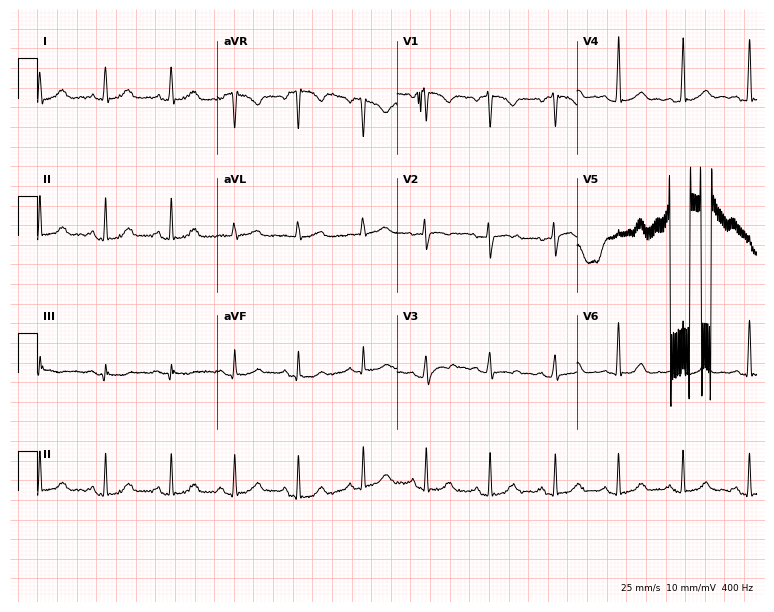
ECG — a 40-year-old female. Labelled as a normal ECG.